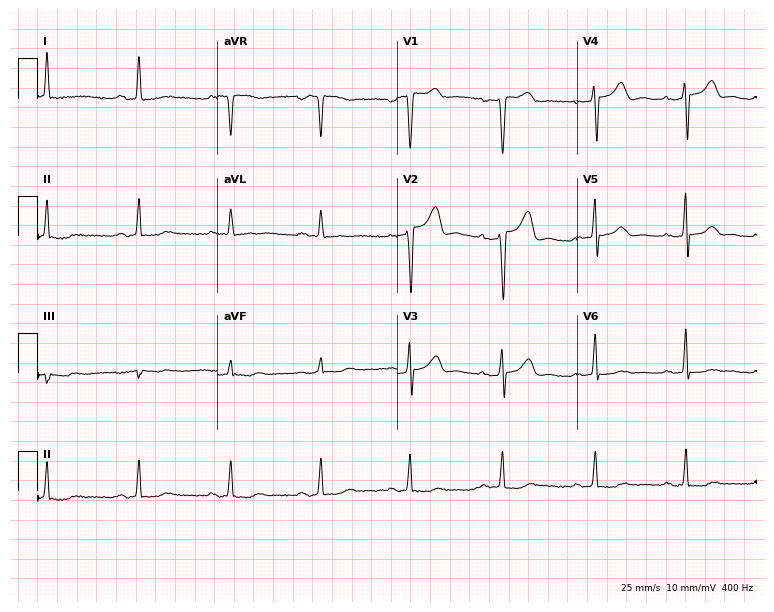
12-lead ECG from a woman, 36 years old (7.3-second recording at 400 Hz). No first-degree AV block, right bundle branch block, left bundle branch block, sinus bradycardia, atrial fibrillation or sinus tachycardia recorded for this tracing.